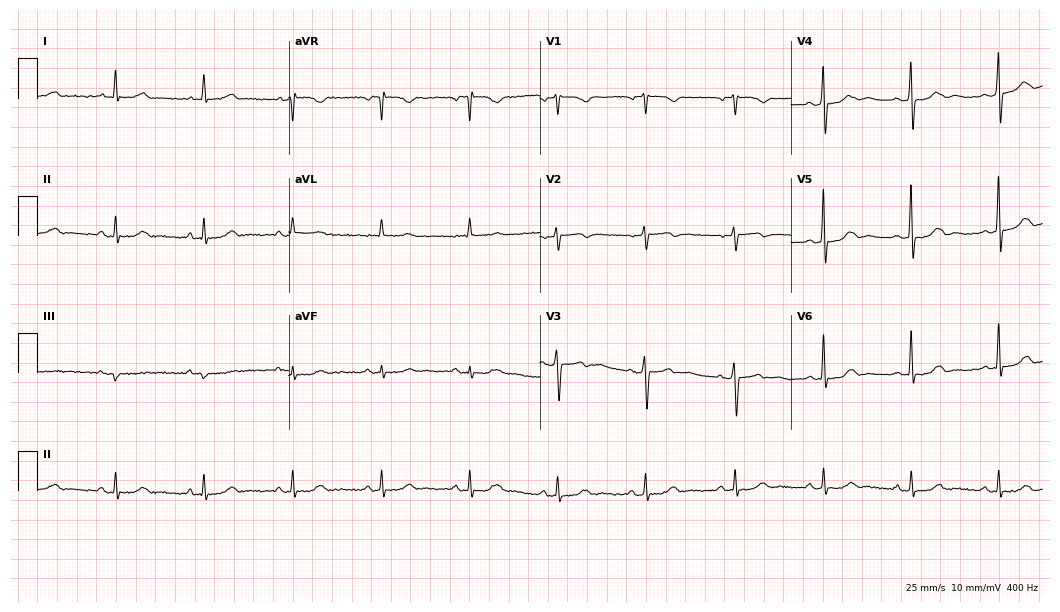
12-lead ECG from a woman, 59 years old (10.2-second recording at 400 Hz). No first-degree AV block, right bundle branch block, left bundle branch block, sinus bradycardia, atrial fibrillation or sinus tachycardia recorded for this tracing.